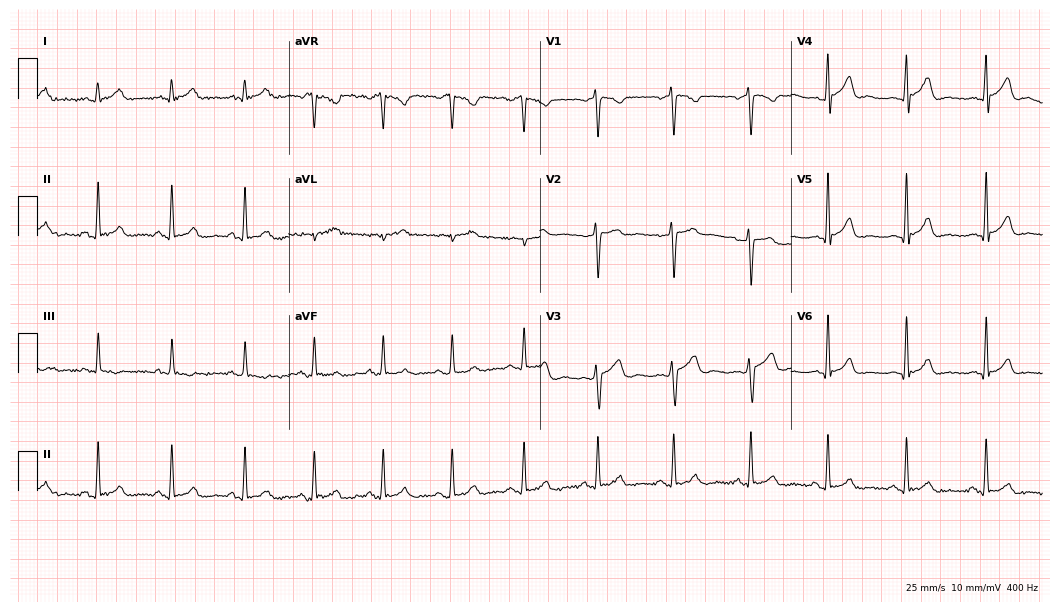
Electrocardiogram (10.2-second recording at 400 Hz), a 27-year-old male. Overall reading on record: normal ECG.